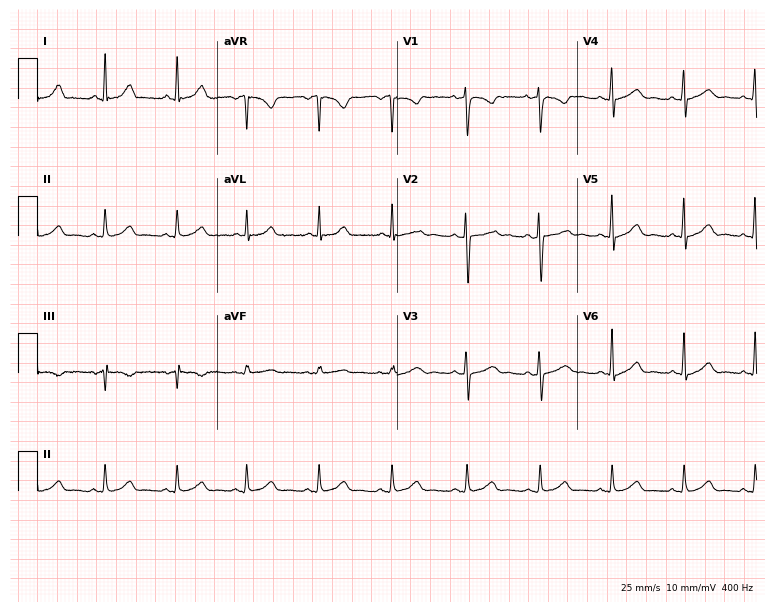
Resting 12-lead electrocardiogram. Patient: a 29-year-old woman. None of these six findings is recorded: first-degree AV block, right bundle branch block, left bundle branch block, sinus bradycardia, atrial fibrillation, sinus tachycardia.